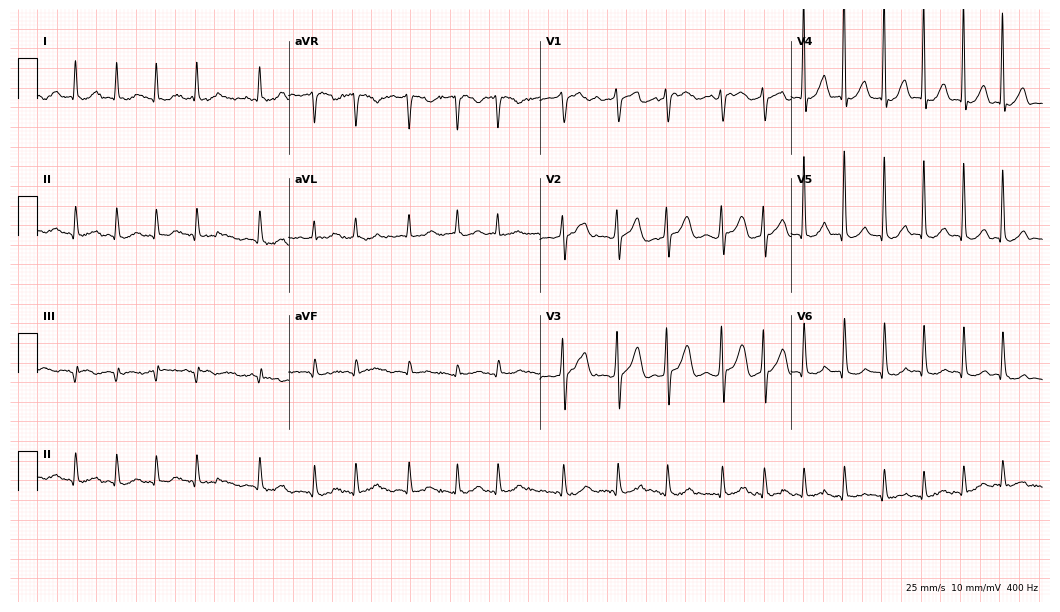
12-lead ECG from a 54-year-old female. No first-degree AV block, right bundle branch block (RBBB), left bundle branch block (LBBB), sinus bradycardia, atrial fibrillation (AF) or sinus tachycardia recorded for this tracing. Findings outside these six are not listed.